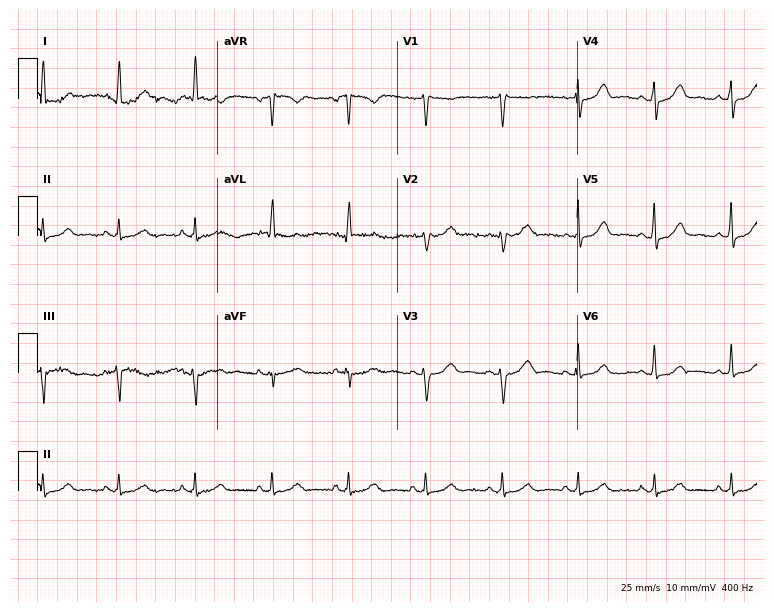
12-lead ECG from a female patient, 64 years old. Screened for six findings — first-degree AV block, right bundle branch block, left bundle branch block, sinus bradycardia, atrial fibrillation, sinus tachycardia — none is recorded.